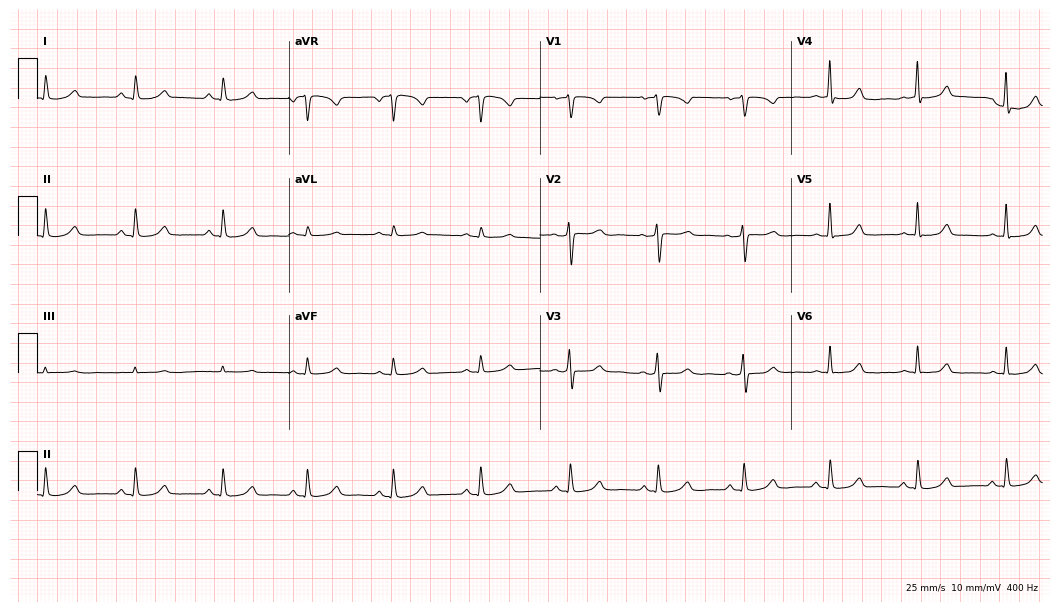
ECG — a 47-year-old female. Labelled as a normal ECG.